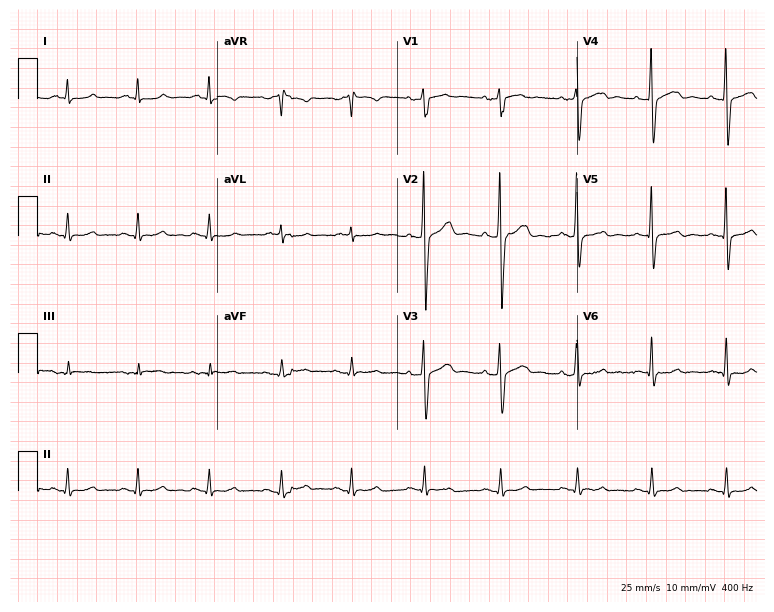
Resting 12-lead electrocardiogram (7.3-second recording at 400 Hz). Patient: a 36-year-old male. Read as a normal ECG.